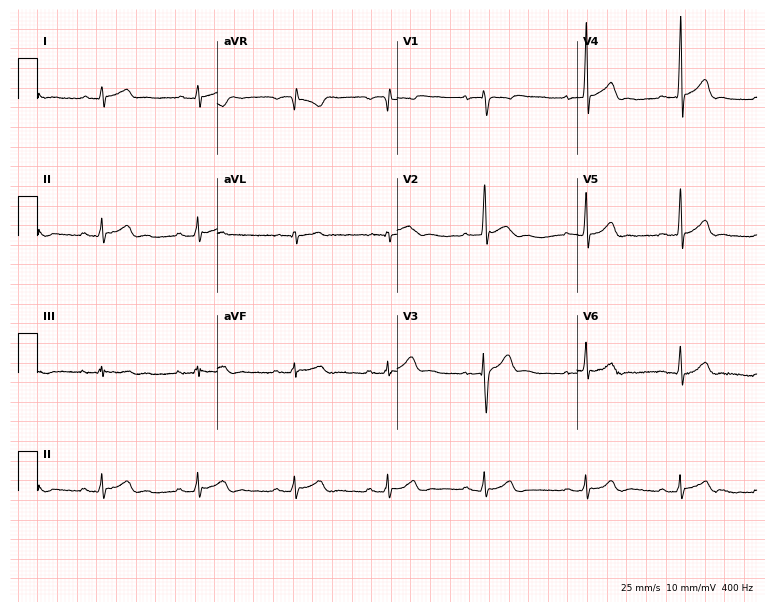
Resting 12-lead electrocardiogram (7.3-second recording at 400 Hz). Patient: a male, 20 years old. Read as a normal ECG.